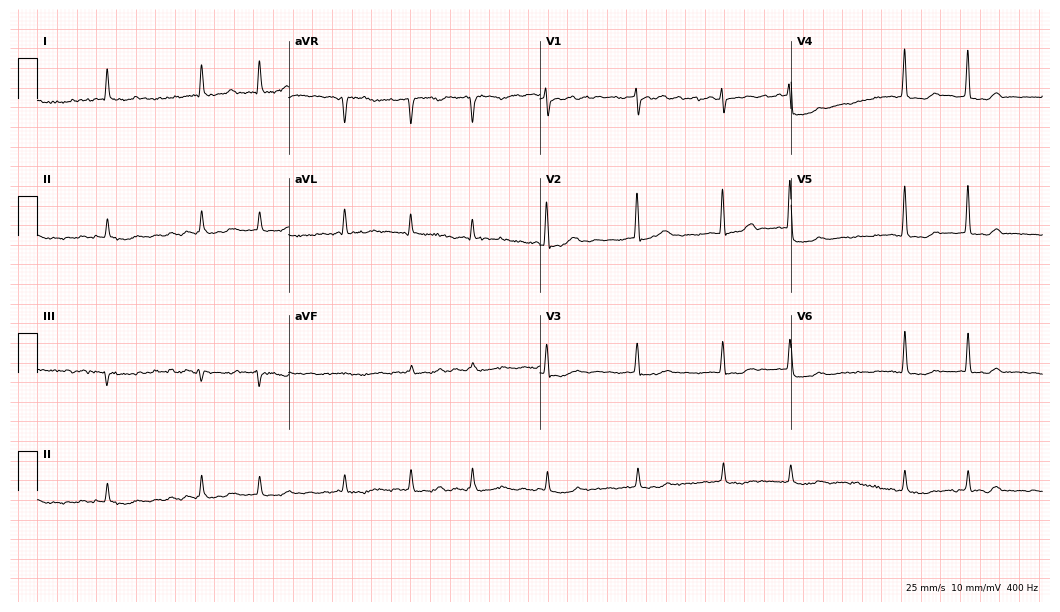
Standard 12-lead ECG recorded from an 83-year-old female patient. The tracing shows atrial fibrillation.